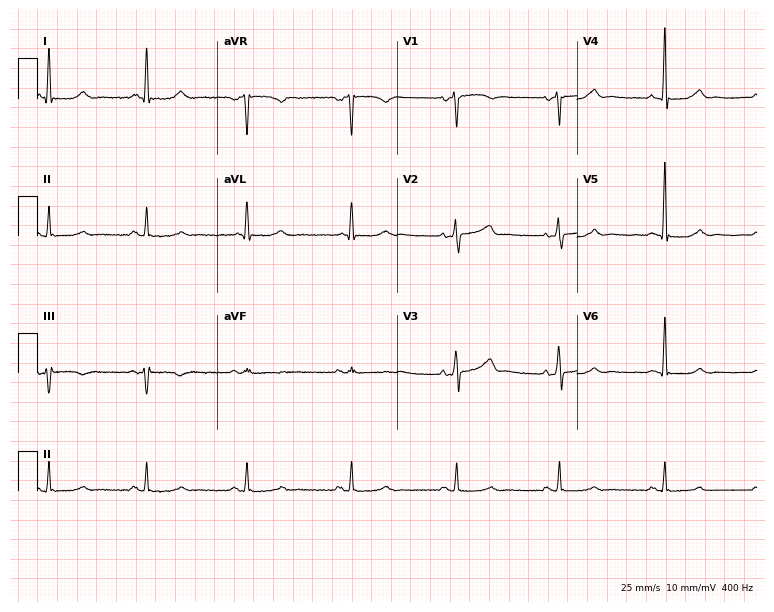
ECG (7.3-second recording at 400 Hz) — a male patient, 70 years old. Labelled as a normal ECG.